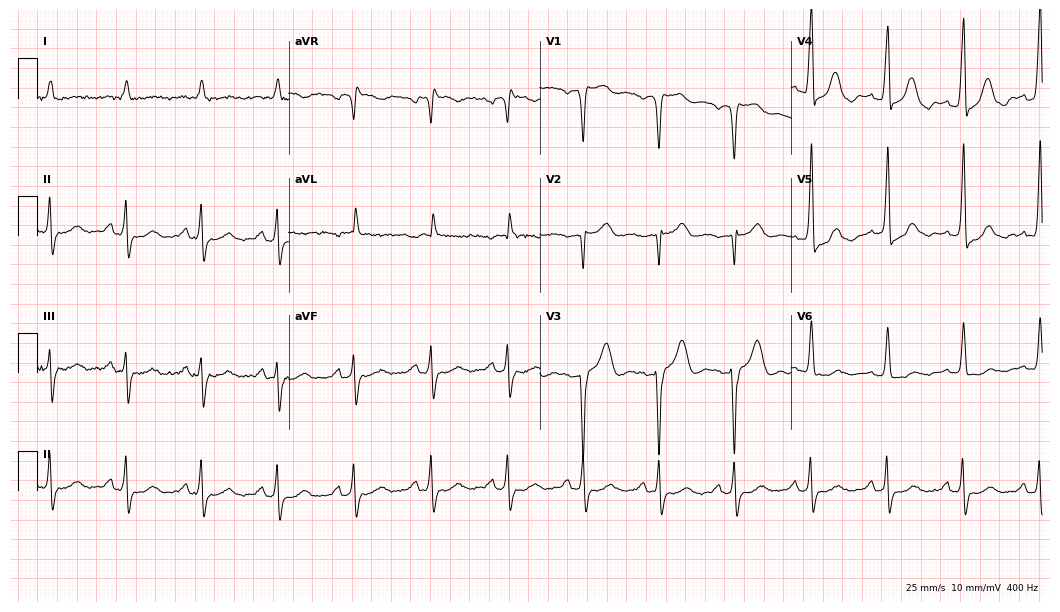
Electrocardiogram, an 81-year-old man. Of the six screened findings (first-degree AV block, right bundle branch block (RBBB), left bundle branch block (LBBB), sinus bradycardia, atrial fibrillation (AF), sinus tachycardia), none is recorded. Findings outside these six are not listed.